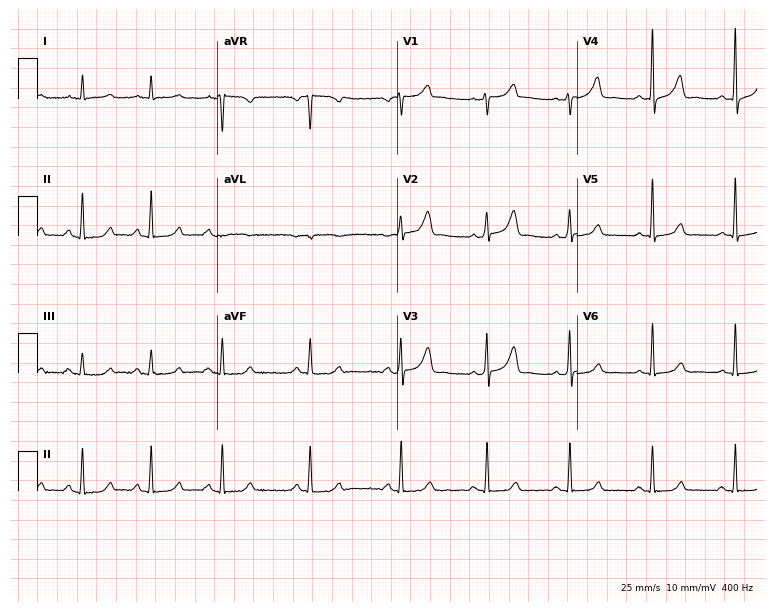
Electrocardiogram, a 67-year-old male patient. Of the six screened findings (first-degree AV block, right bundle branch block, left bundle branch block, sinus bradycardia, atrial fibrillation, sinus tachycardia), none is recorded. Findings outside these six are not listed.